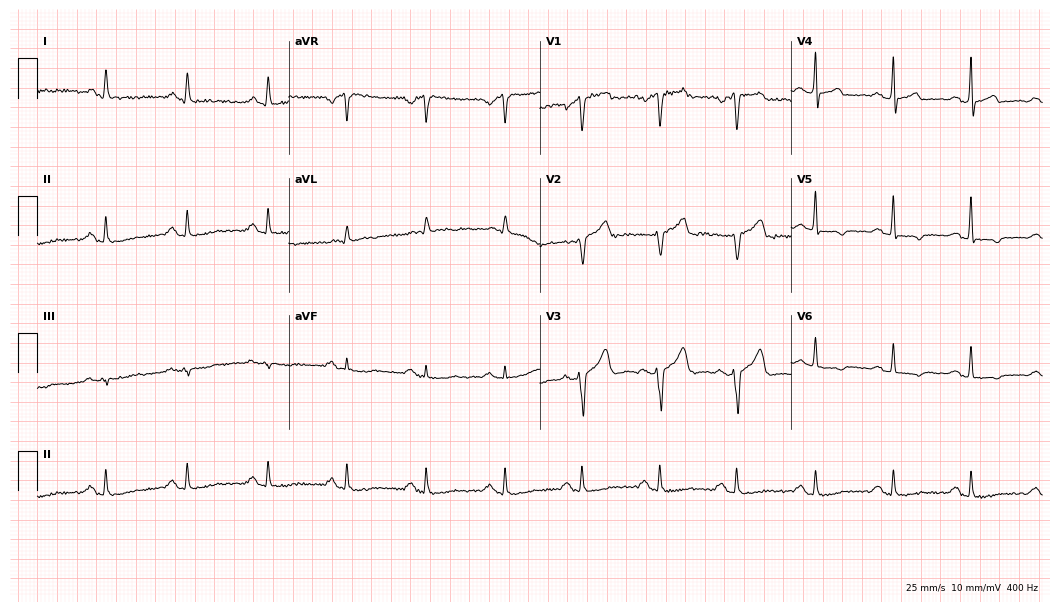
Resting 12-lead electrocardiogram. Patient: a 54-year-old man. None of these six findings is recorded: first-degree AV block, right bundle branch block, left bundle branch block, sinus bradycardia, atrial fibrillation, sinus tachycardia.